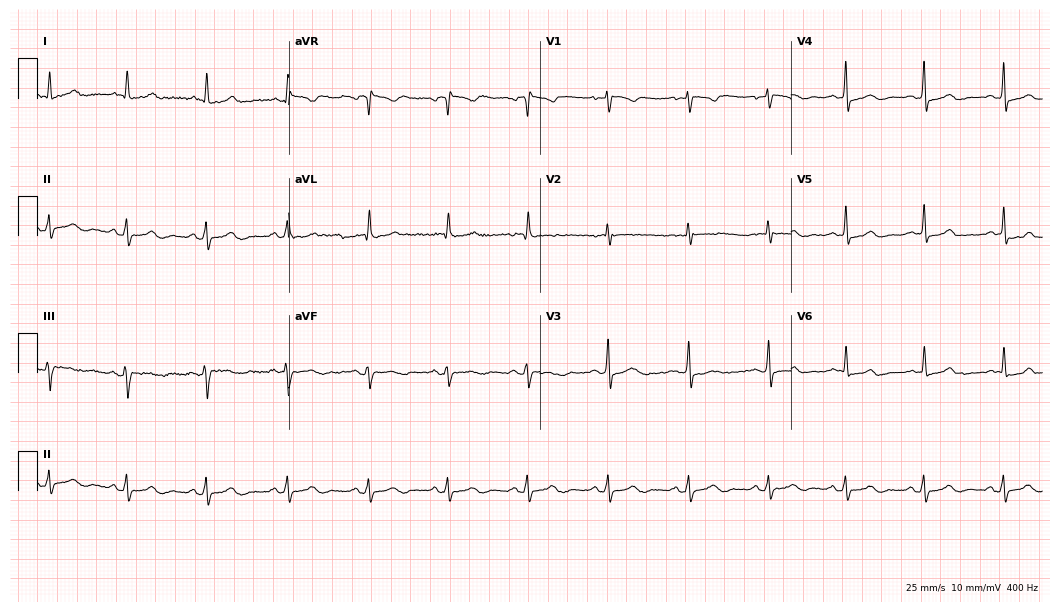
Resting 12-lead electrocardiogram. Patient: a female, 49 years old. None of these six findings is recorded: first-degree AV block, right bundle branch block (RBBB), left bundle branch block (LBBB), sinus bradycardia, atrial fibrillation (AF), sinus tachycardia.